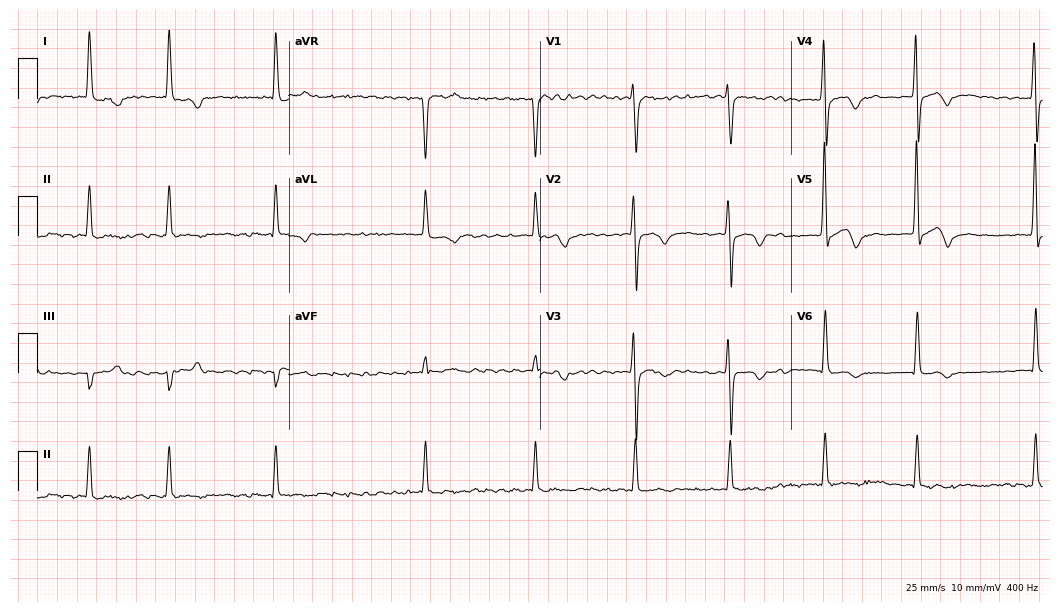
Resting 12-lead electrocardiogram. Patient: a woman, 76 years old. The tracing shows atrial fibrillation (AF).